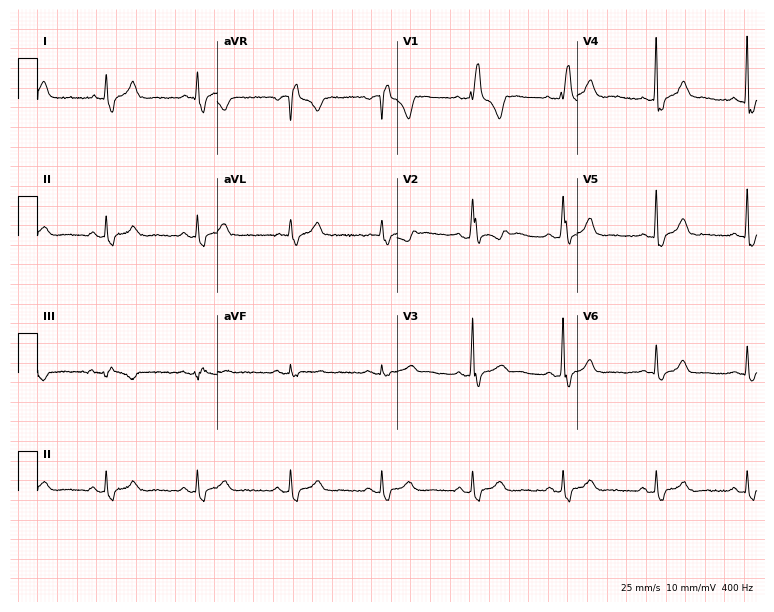
12-lead ECG from a 43-year-old man. Findings include right bundle branch block.